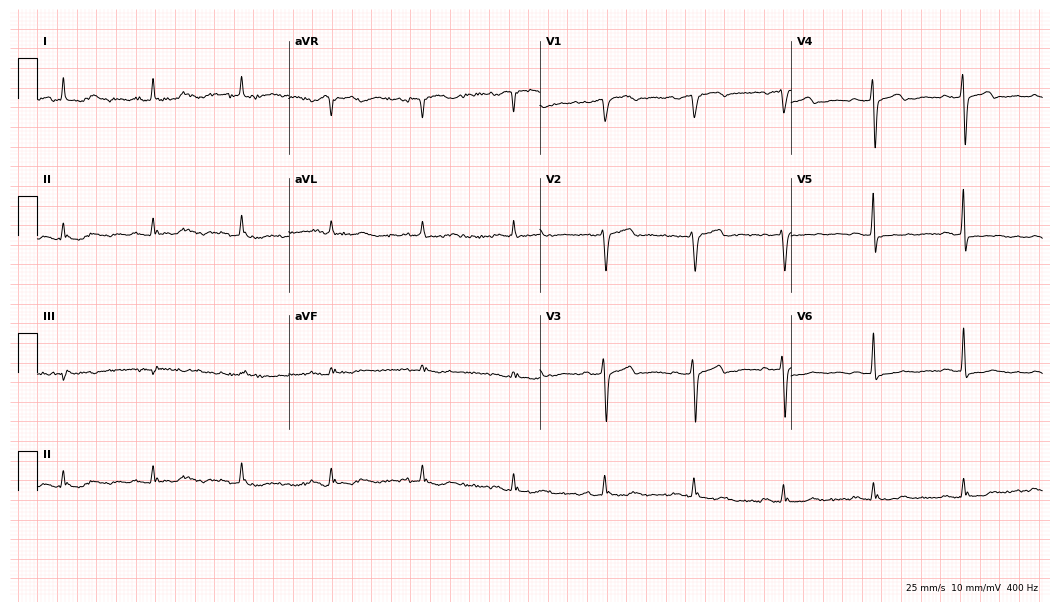
12-lead ECG (10.2-second recording at 400 Hz) from a 72-year-old male. Screened for six findings — first-degree AV block, right bundle branch block, left bundle branch block, sinus bradycardia, atrial fibrillation, sinus tachycardia — none is recorded. Only these six findings were labelled.